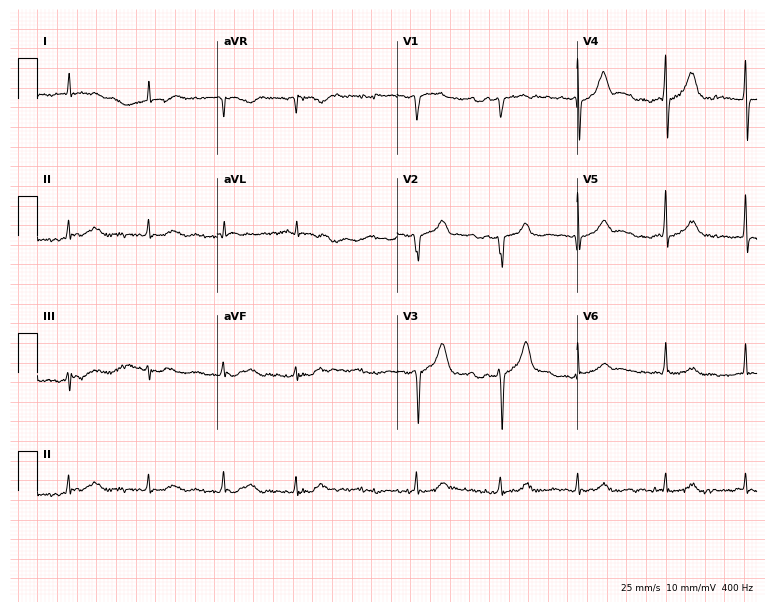
ECG — a male patient, 83 years old. Findings include atrial fibrillation.